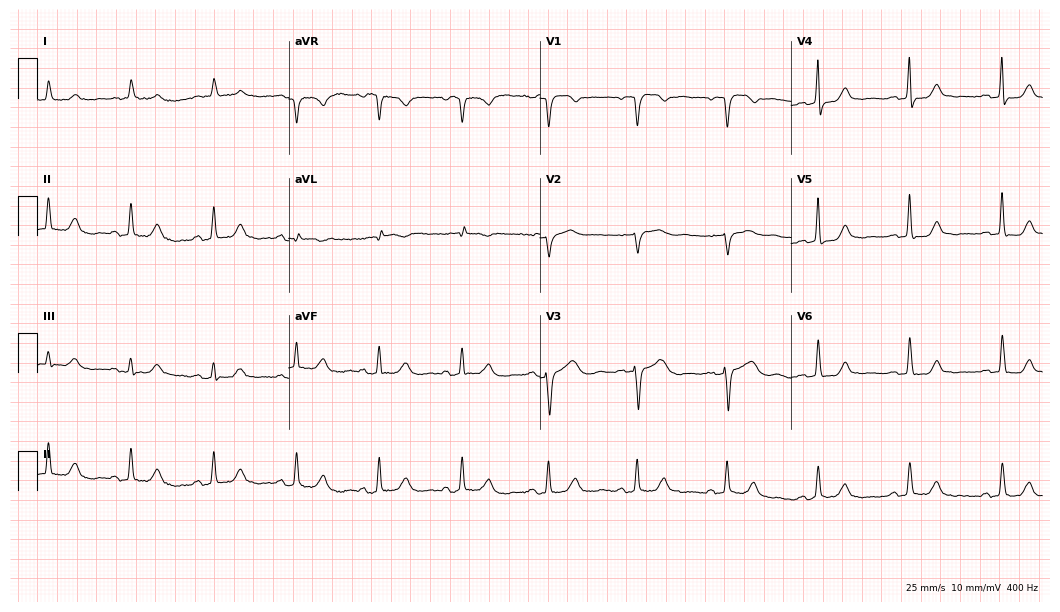
Standard 12-lead ECG recorded from a woman, 71 years old. None of these six findings is recorded: first-degree AV block, right bundle branch block (RBBB), left bundle branch block (LBBB), sinus bradycardia, atrial fibrillation (AF), sinus tachycardia.